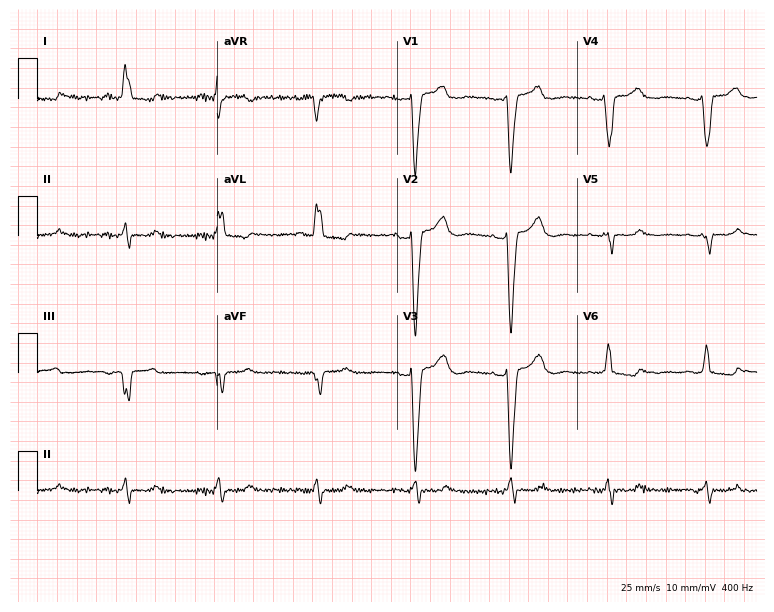
ECG (7.3-second recording at 400 Hz) — a female, 52 years old. Findings include left bundle branch block (LBBB).